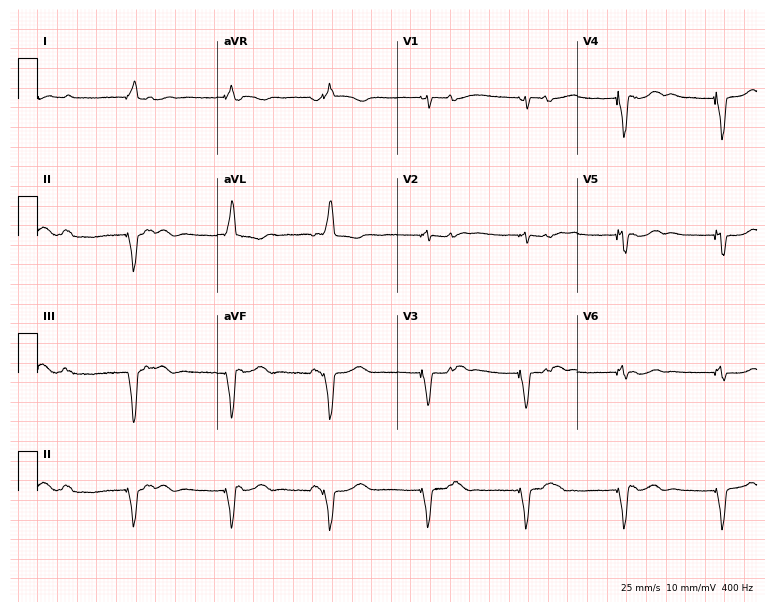
ECG (7.3-second recording at 400 Hz) — an 83-year-old female patient. Screened for six findings — first-degree AV block, right bundle branch block, left bundle branch block, sinus bradycardia, atrial fibrillation, sinus tachycardia — none is recorded.